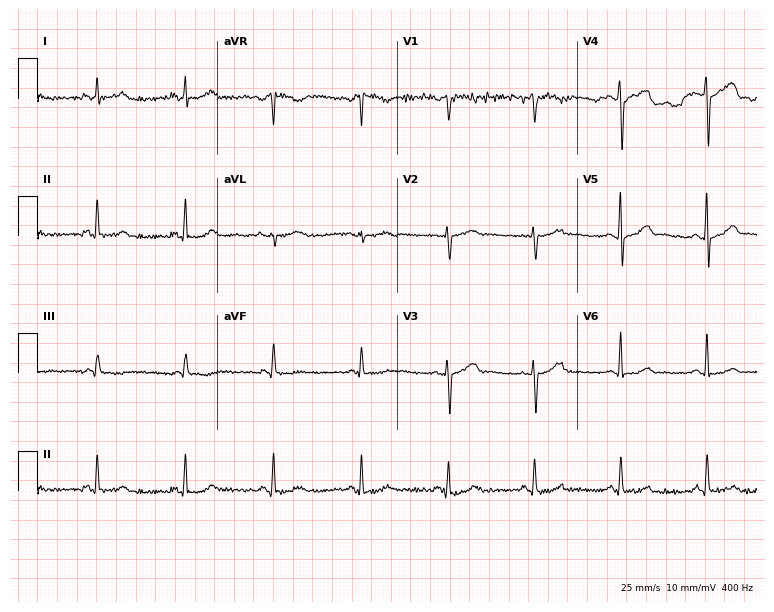
ECG — a male, 53 years old. Screened for six findings — first-degree AV block, right bundle branch block, left bundle branch block, sinus bradycardia, atrial fibrillation, sinus tachycardia — none is recorded. Only these six findings were labelled.